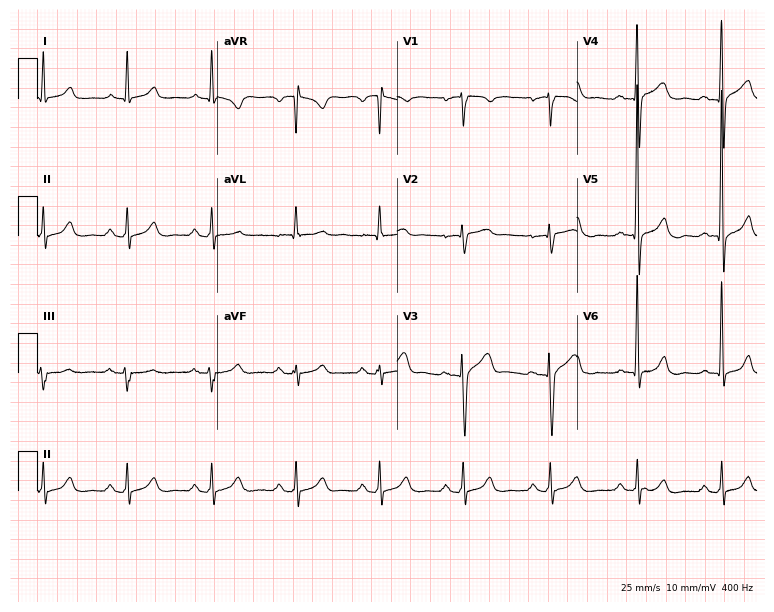
12-lead ECG from a male, 69 years old. Recorded interpretation: within normal limits.